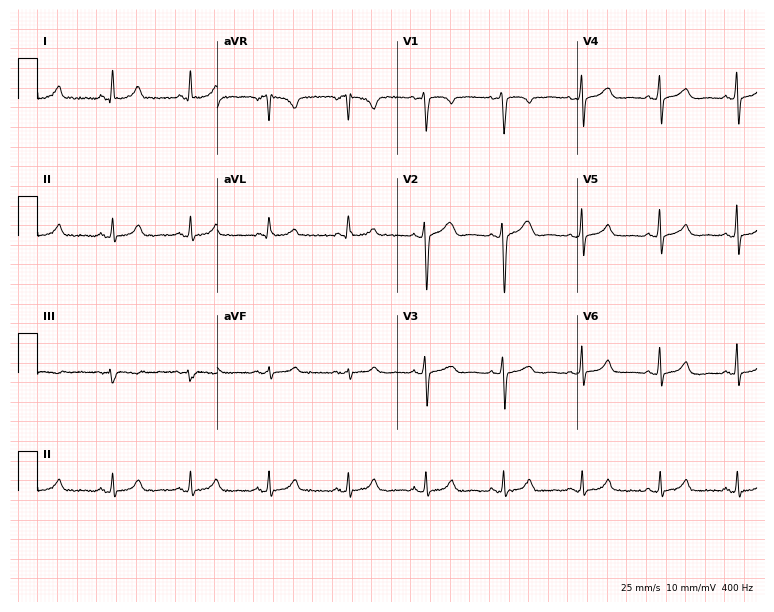
Electrocardiogram, a 49-year-old female patient. Of the six screened findings (first-degree AV block, right bundle branch block (RBBB), left bundle branch block (LBBB), sinus bradycardia, atrial fibrillation (AF), sinus tachycardia), none is recorded.